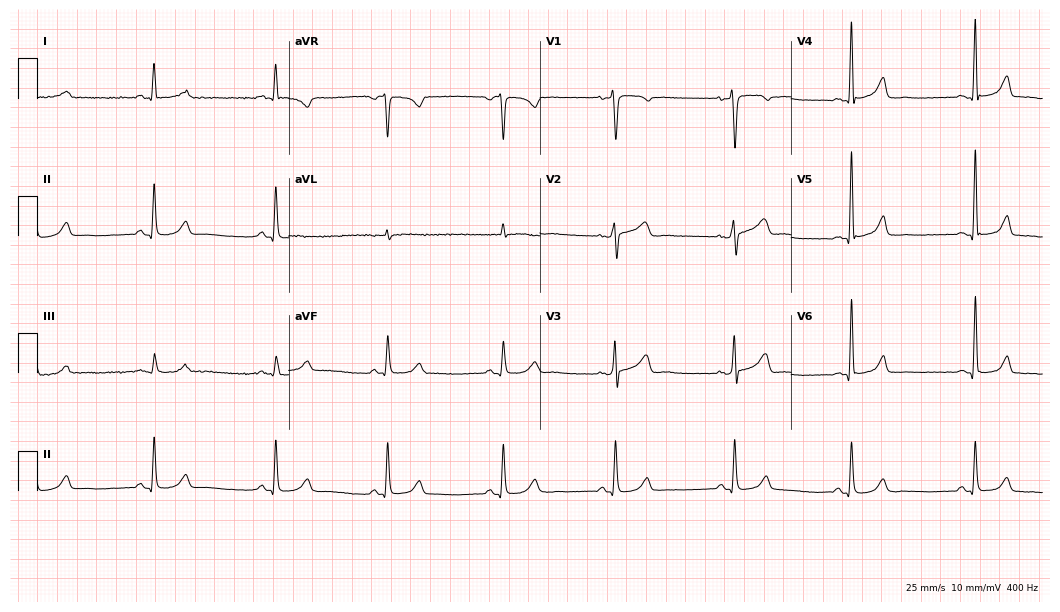
Standard 12-lead ECG recorded from a woman, 46 years old (10.2-second recording at 400 Hz). The tracing shows sinus bradycardia (a sinus rate of 50 beats per minute or less).